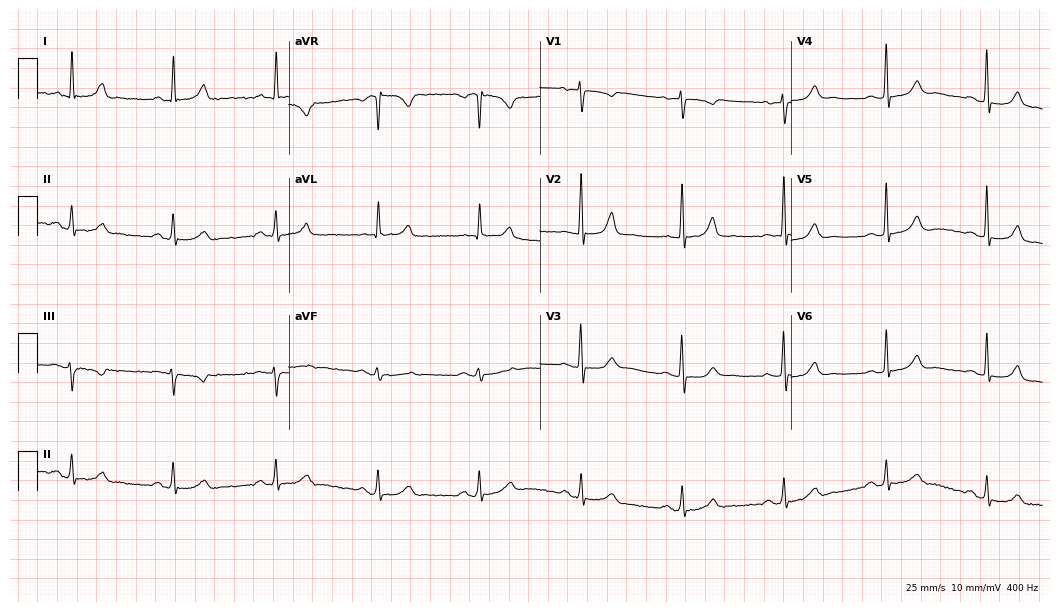
12-lead ECG (10.2-second recording at 400 Hz) from a 77-year-old female patient. Labelled as a normal ECG.